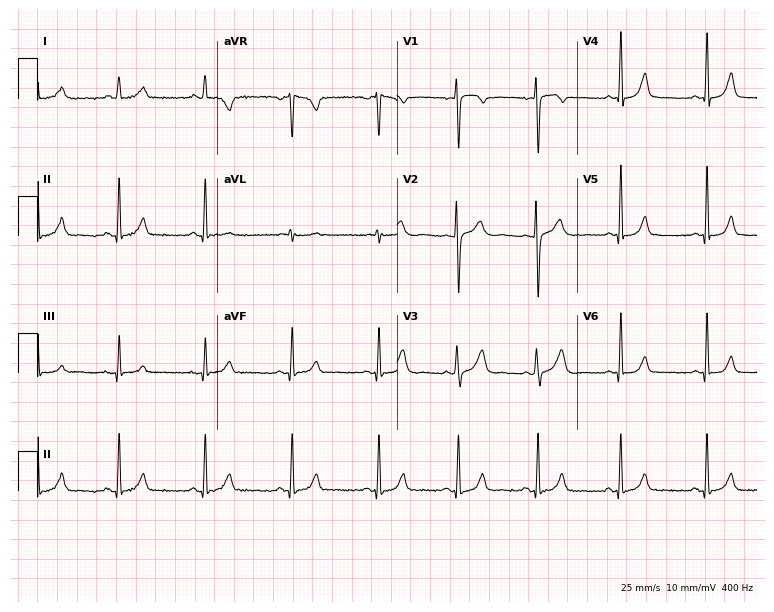
Standard 12-lead ECG recorded from a female patient, 38 years old. Read as a normal ECG.